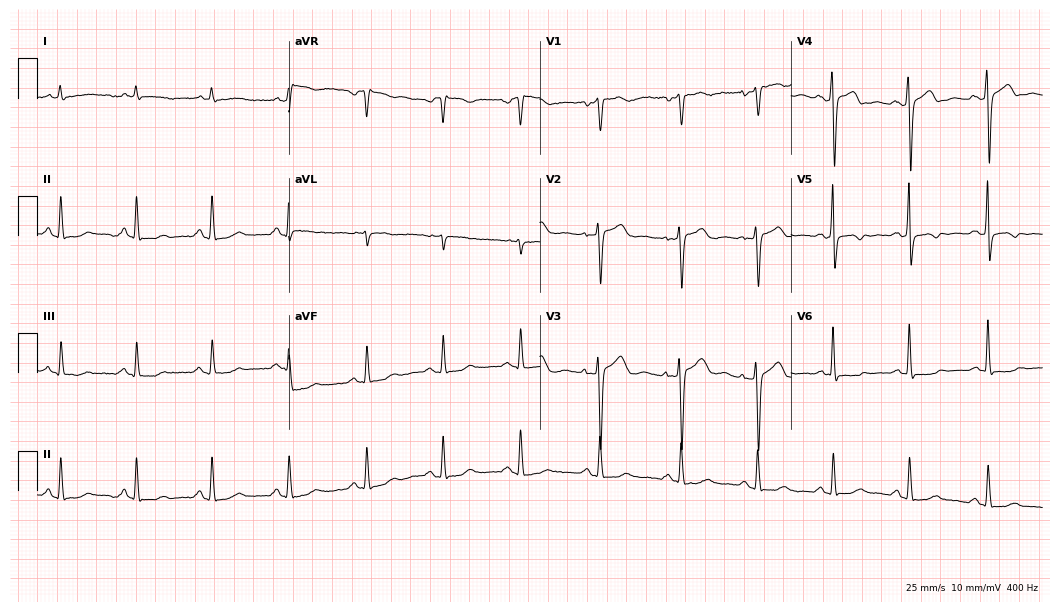
12-lead ECG (10.2-second recording at 400 Hz) from a female patient, 55 years old. Screened for six findings — first-degree AV block, right bundle branch block, left bundle branch block, sinus bradycardia, atrial fibrillation, sinus tachycardia — none is recorded.